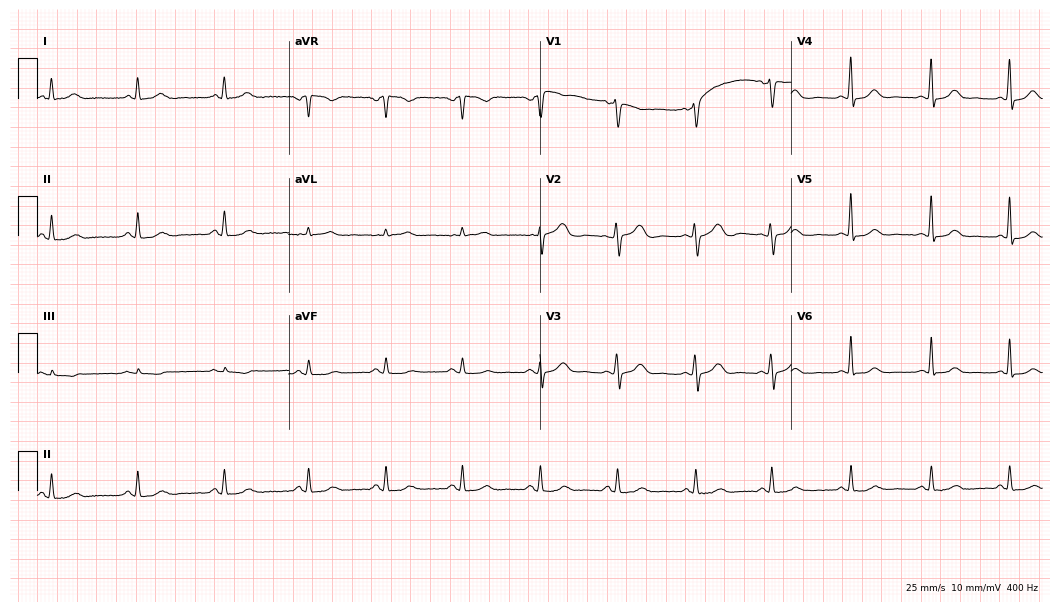
Electrocardiogram (10.2-second recording at 400 Hz), a 54-year-old woman. Of the six screened findings (first-degree AV block, right bundle branch block, left bundle branch block, sinus bradycardia, atrial fibrillation, sinus tachycardia), none is recorded. Only these six findings were labelled.